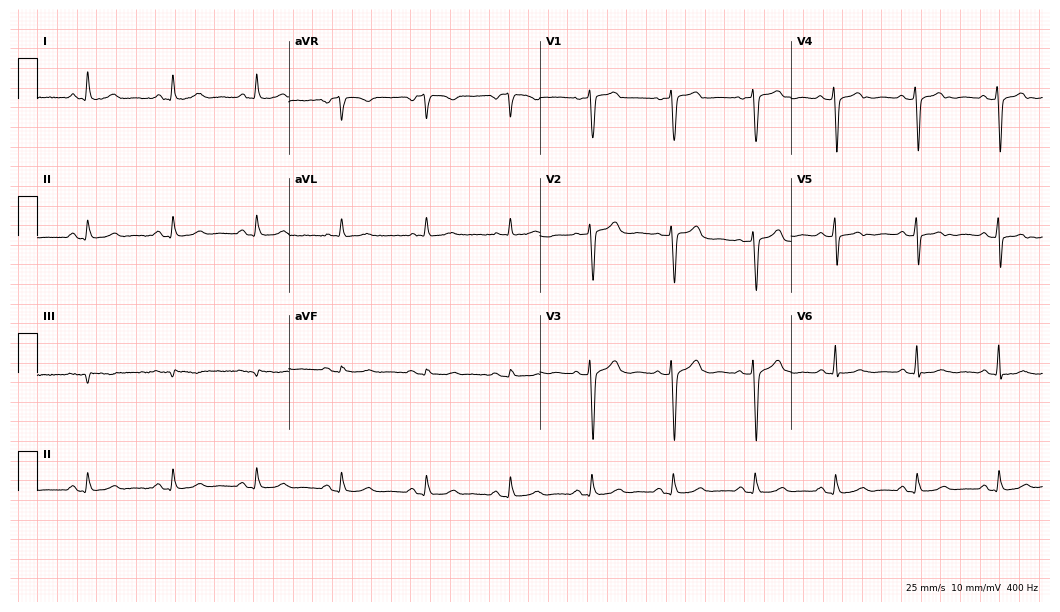
ECG (10.2-second recording at 400 Hz) — a 54-year-old female patient. Screened for six findings — first-degree AV block, right bundle branch block (RBBB), left bundle branch block (LBBB), sinus bradycardia, atrial fibrillation (AF), sinus tachycardia — none is recorded.